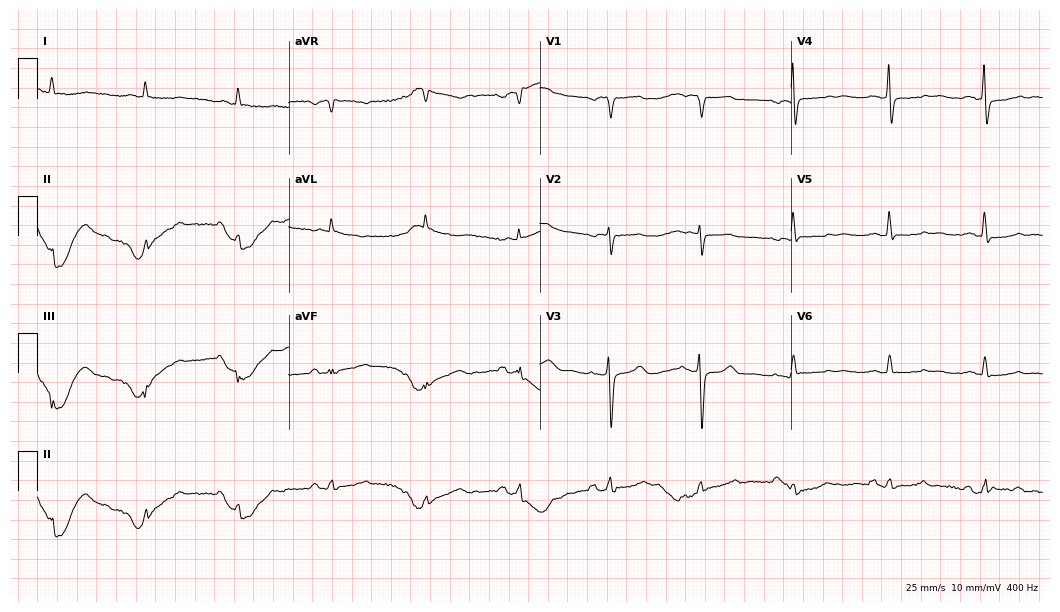
12-lead ECG from a male patient, 81 years old. No first-degree AV block, right bundle branch block (RBBB), left bundle branch block (LBBB), sinus bradycardia, atrial fibrillation (AF) or sinus tachycardia recorded for this tracing. Other findings, if any, are not listed.